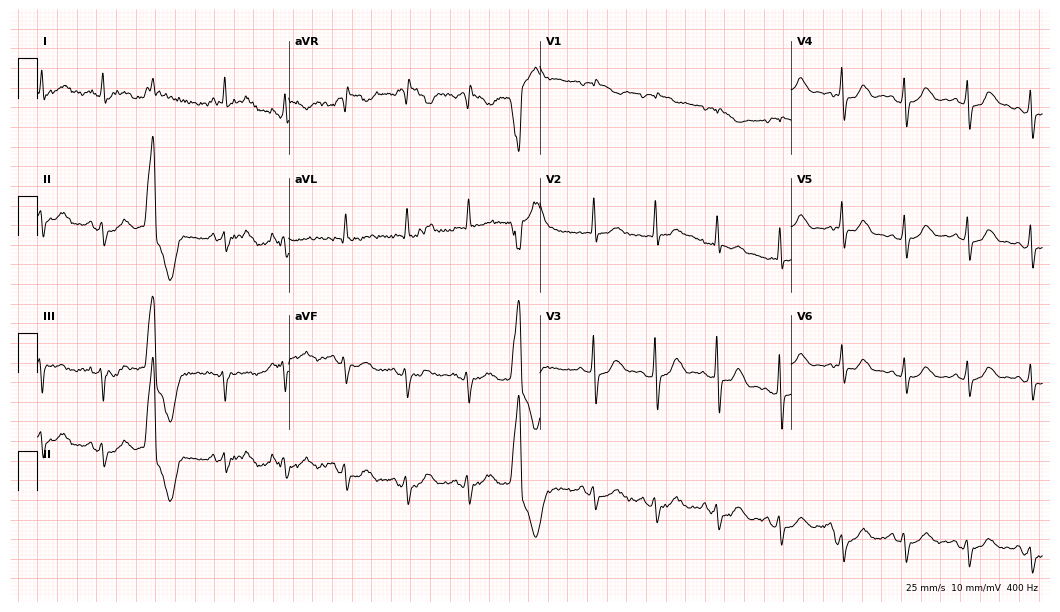
12-lead ECG (10.2-second recording at 400 Hz) from a female, 71 years old. Screened for six findings — first-degree AV block, right bundle branch block, left bundle branch block, sinus bradycardia, atrial fibrillation, sinus tachycardia — none is recorded. Findings outside these six are not listed.